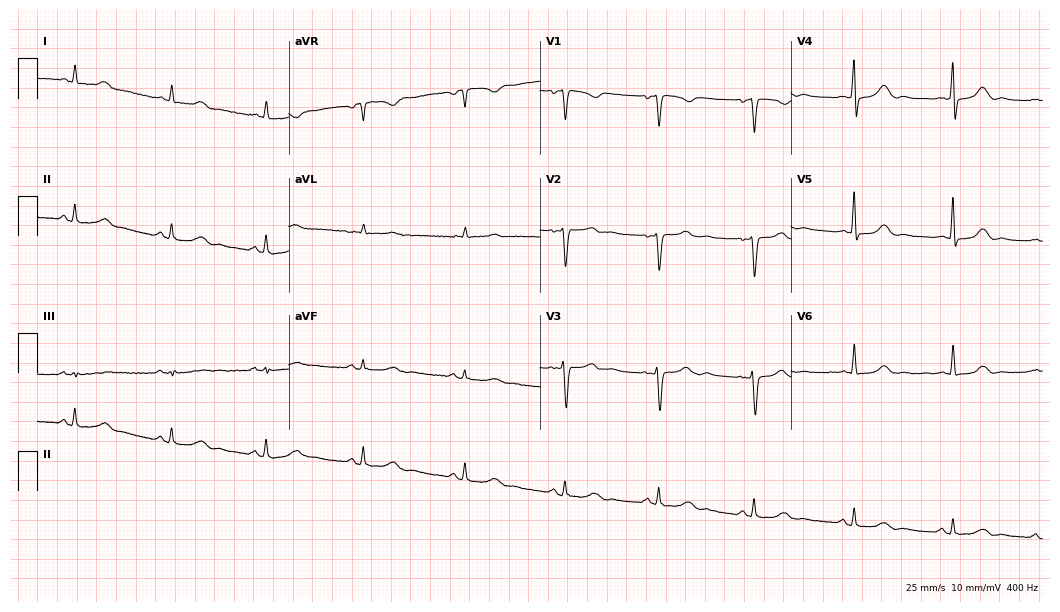
ECG (10.2-second recording at 400 Hz) — a 41-year-old woman. Screened for six findings — first-degree AV block, right bundle branch block, left bundle branch block, sinus bradycardia, atrial fibrillation, sinus tachycardia — none is recorded.